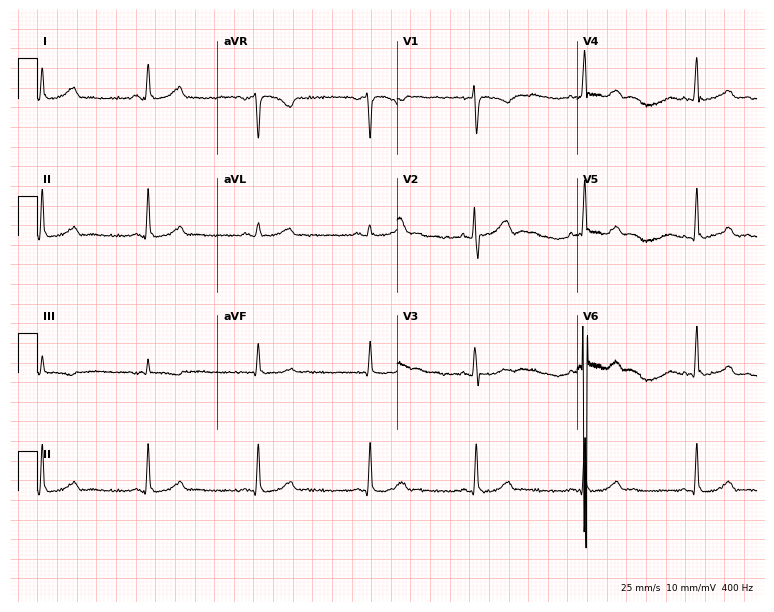
Electrocardiogram (7.3-second recording at 400 Hz), a 41-year-old female. Overall reading on record: normal ECG.